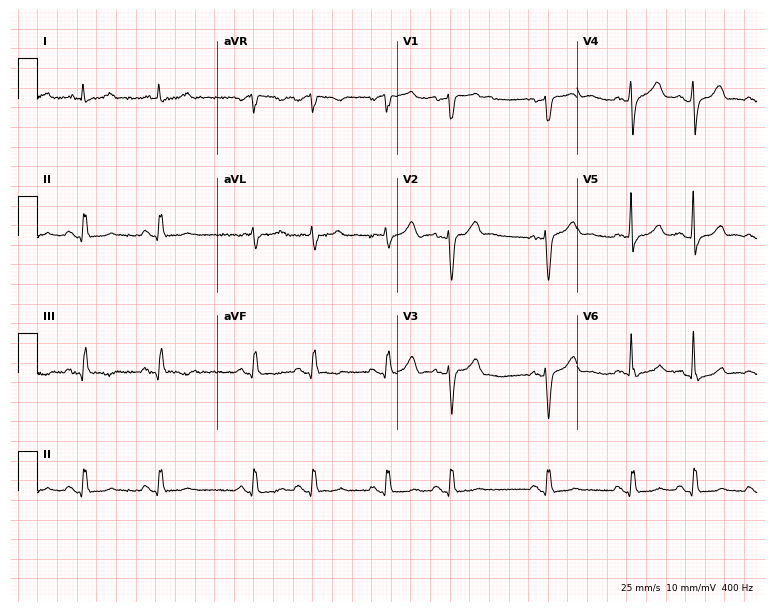
ECG — a man, 77 years old. Screened for six findings — first-degree AV block, right bundle branch block (RBBB), left bundle branch block (LBBB), sinus bradycardia, atrial fibrillation (AF), sinus tachycardia — none is recorded.